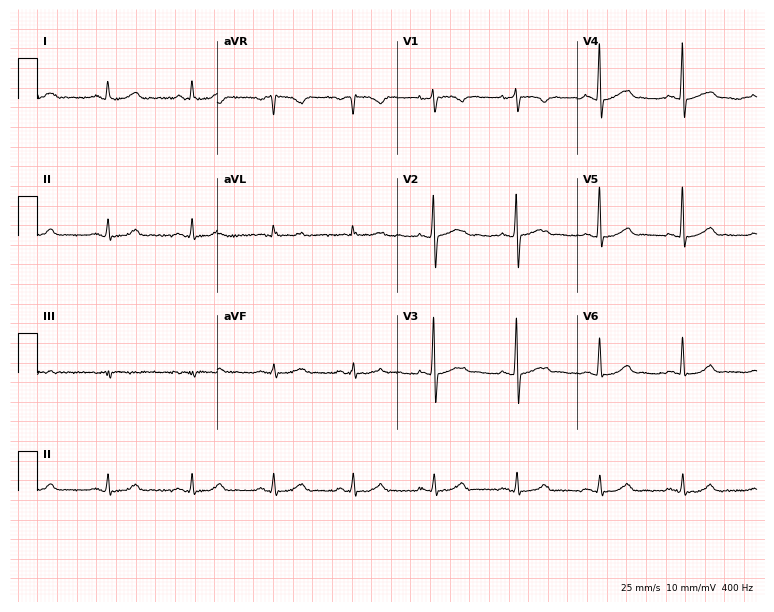
12-lead ECG from a male, 76 years old (7.3-second recording at 400 Hz). Recorded interpretation: within normal limits.